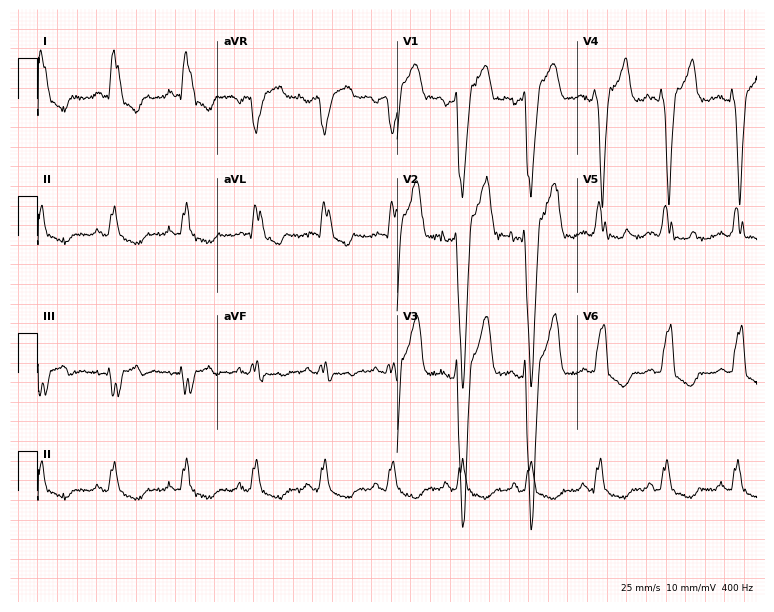
Resting 12-lead electrocardiogram. Patient: a 57-year-old male. The tracing shows left bundle branch block.